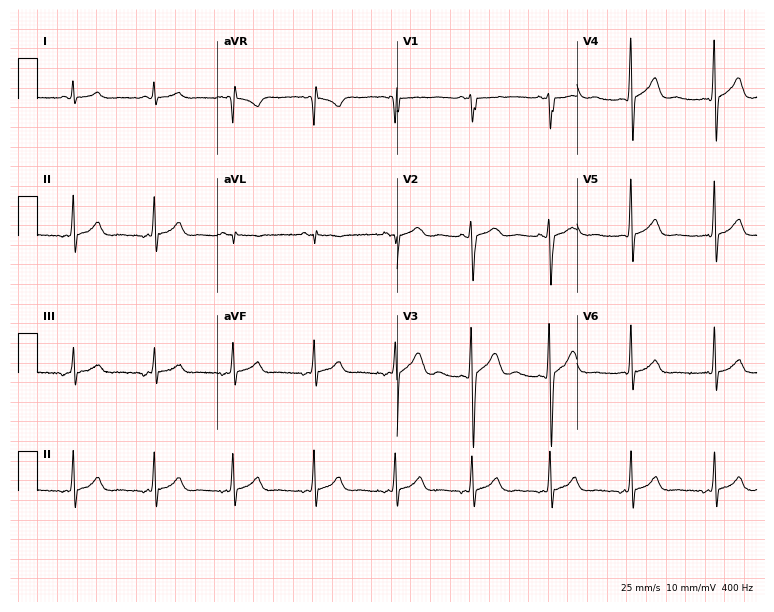
Resting 12-lead electrocardiogram (7.3-second recording at 400 Hz). Patient: a 23-year-old male. None of these six findings is recorded: first-degree AV block, right bundle branch block, left bundle branch block, sinus bradycardia, atrial fibrillation, sinus tachycardia. Only these six findings were labelled.